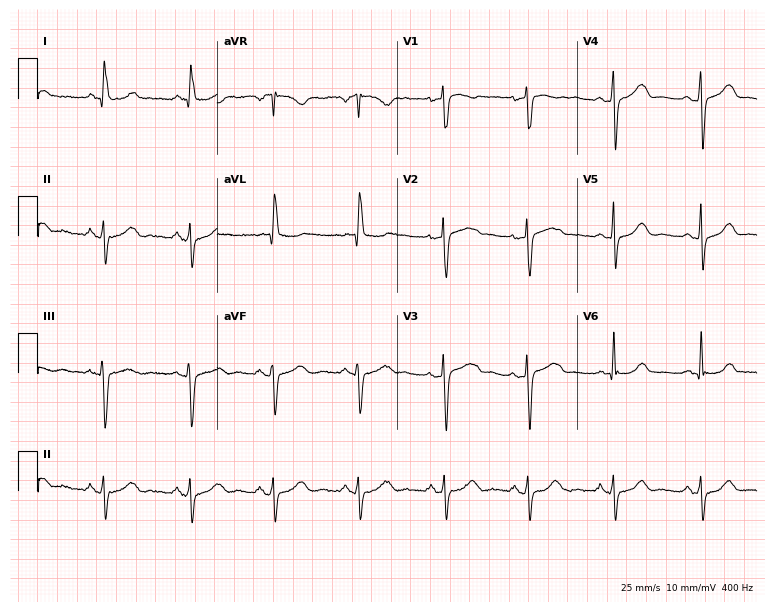
12-lead ECG from a 60-year-old female (7.3-second recording at 400 Hz). No first-degree AV block, right bundle branch block, left bundle branch block, sinus bradycardia, atrial fibrillation or sinus tachycardia recorded for this tracing. Only these six findings were labelled.